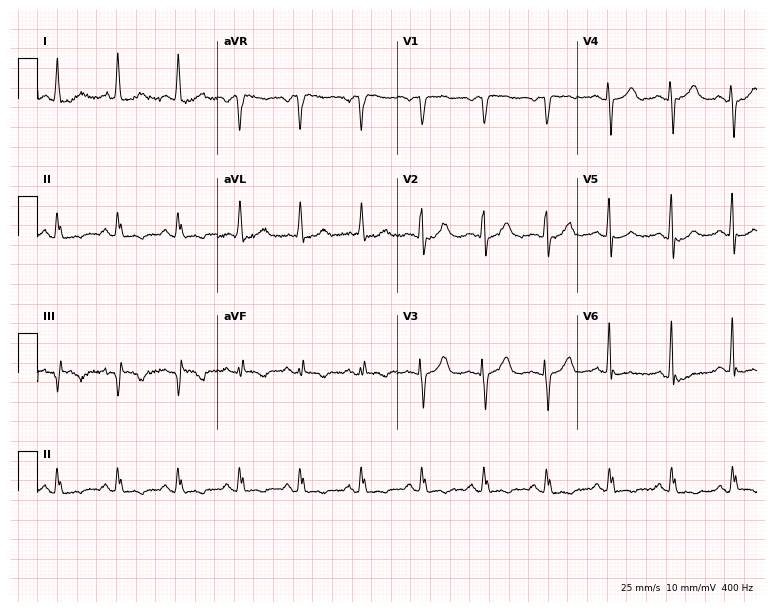
12-lead ECG from a 78-year-old woman (7.3-second recording at 400 Hz). No first-degree AV block, right bundle branch block (RBBB), left bundle branch block (LBBB), sinus bradycardia, atrial fibrillation (AF) or sinus tachycardia recorded for this tracing.